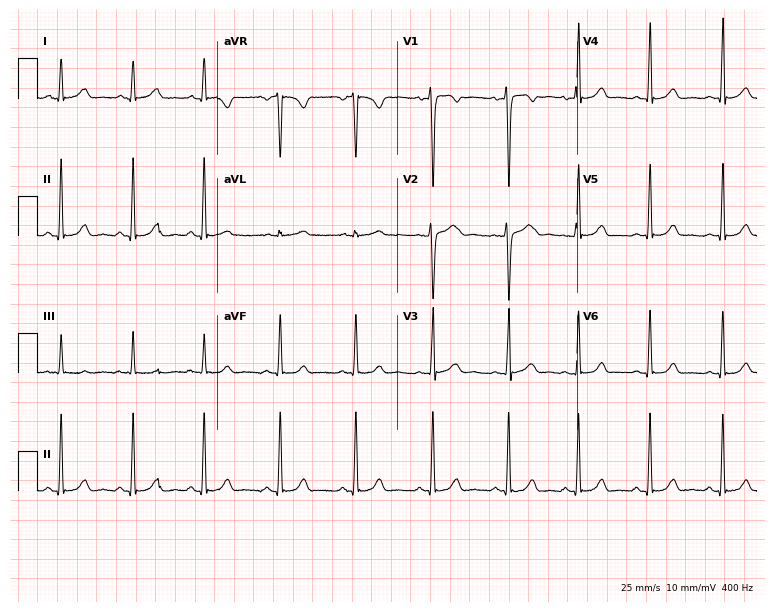
Standard 12-lead ECG recorded from a female, 22 years old. Read as a normal ECG.